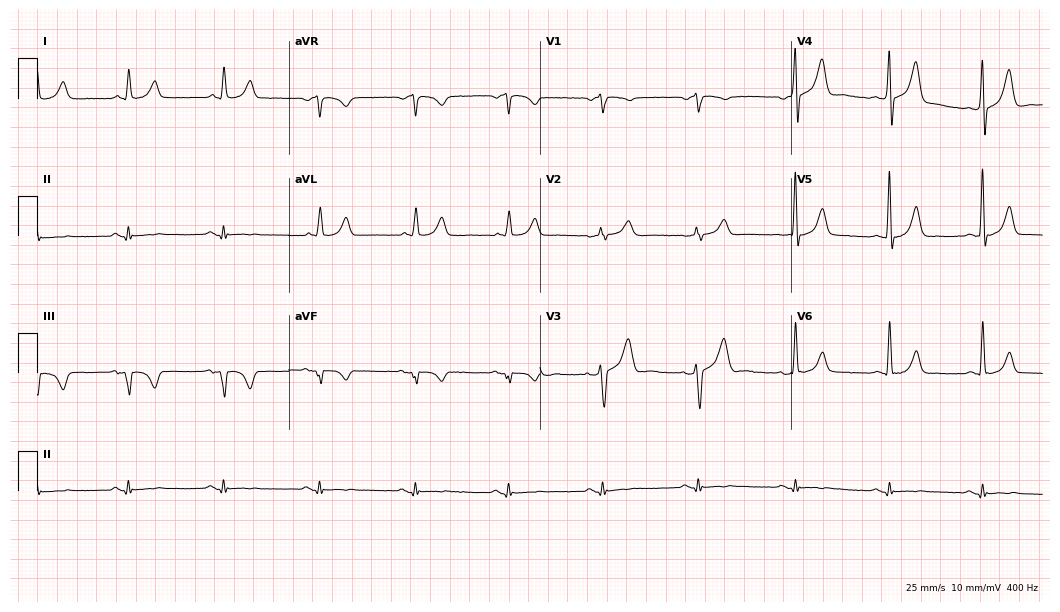
Electrocardiogram (10.2-second recording at 400 Hz), a 56-year-old male. Of the six screened findings (first-degree AV block, right bundle branch block, left bundle branch block, sinus bradycardia, atrial fibrillation, sinus tachycardia), none is recorded. Other findings, if any, are not listed.